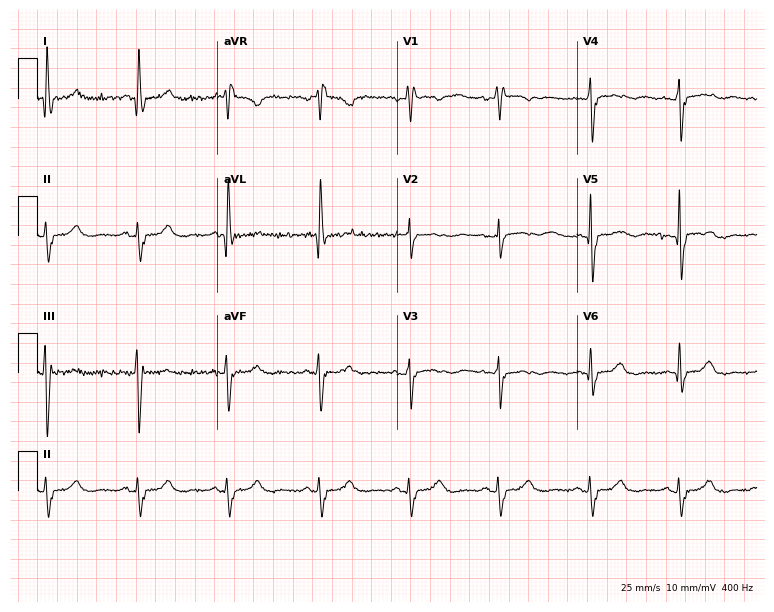
Resting 12-lead electrocardiogram (7.3-second recording at 400 Hz). Patient: a 74-year-old woman. The tracing shows right bundle branch block.